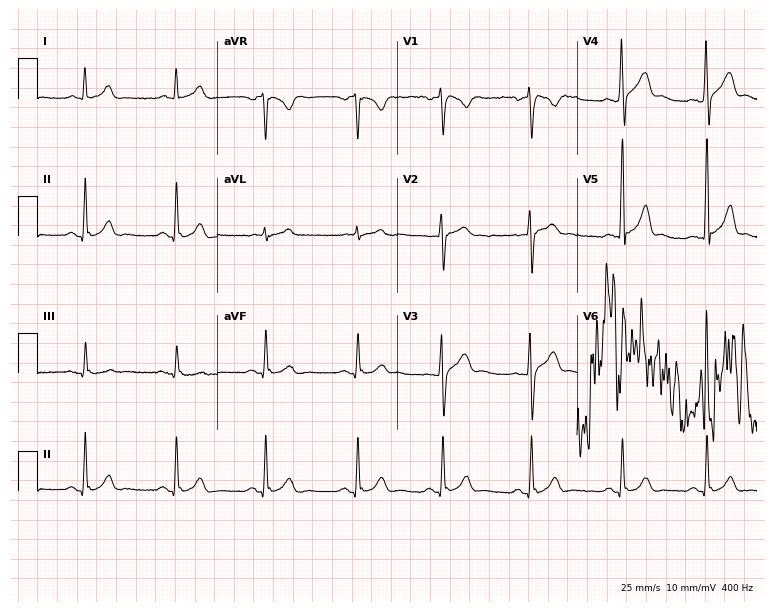
12-lead ECG from a male patient, 29 years old. No first-degree AV block, right bundle branch block, left bundle branch block, sinus bradycardia, atrial fibrillation or sinus tachycardia recorded for this tracing.